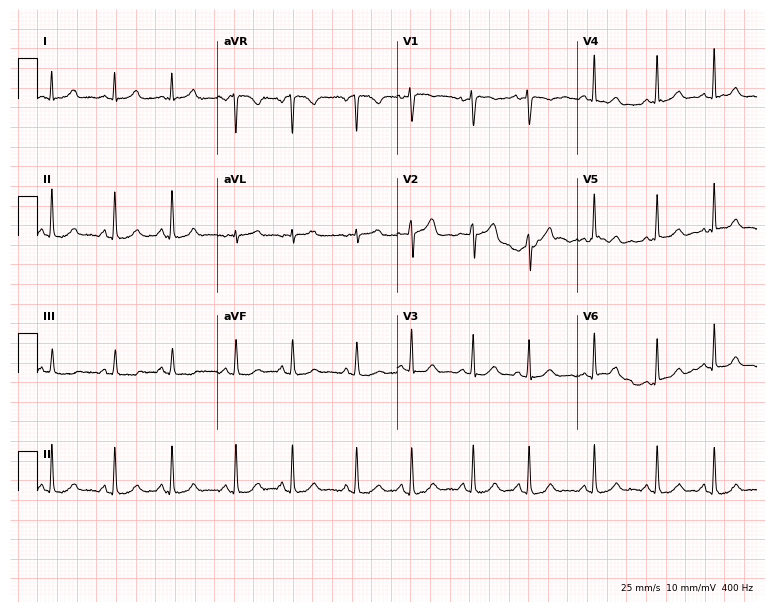
12-lead ECG from a female, 28 years old. Labelled as a normal ECG.